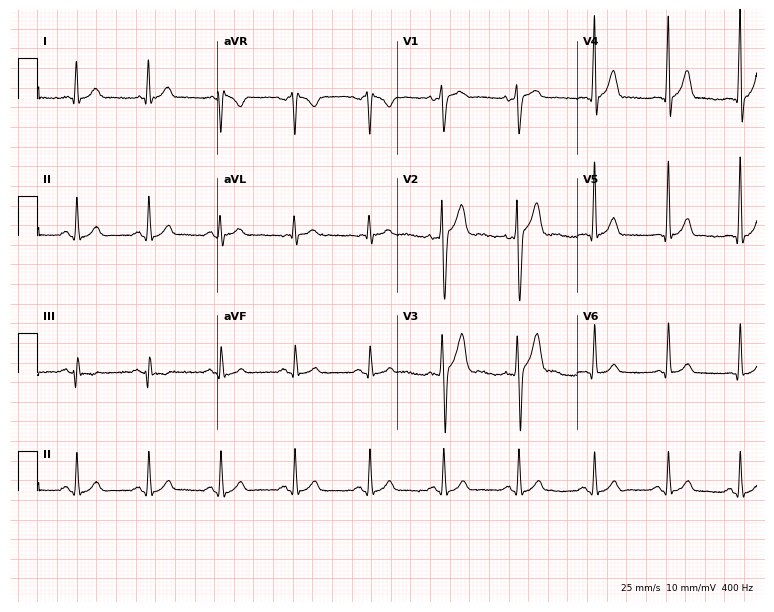
Resting 12-lead electrocardiogram. Patient: a man, 25 years old. Read as a normal ECG.